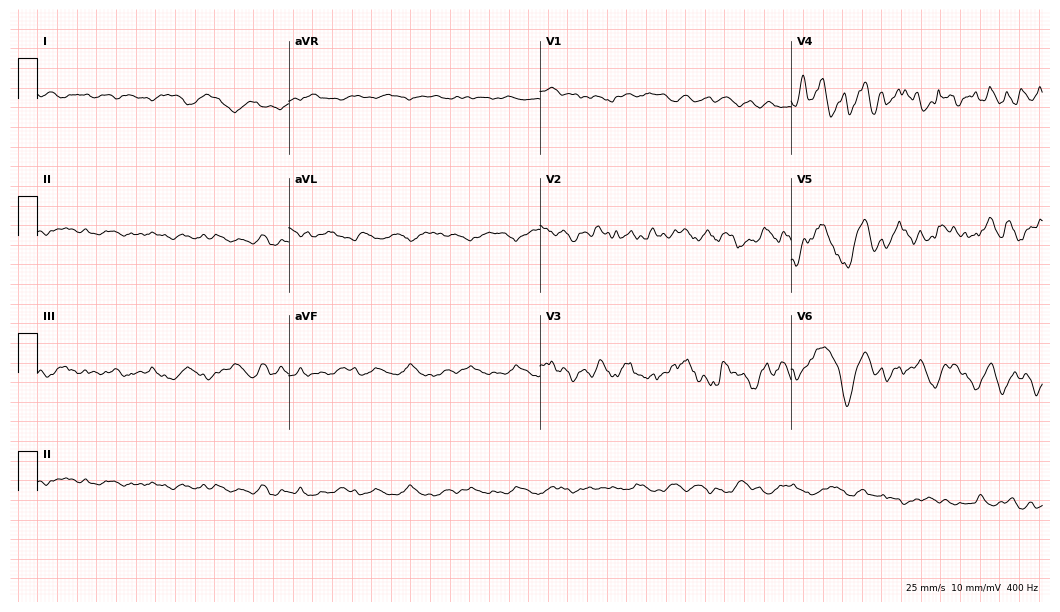
Standard 12-lead ECG recorded from a man, 82 years old. None of these six findings is recorded: first-degree AV block, right bundle branch block, left bundle branch block, sinus bradycardia, atrial fibrillation, sinus tachycardia. Only these six findings were labelled.